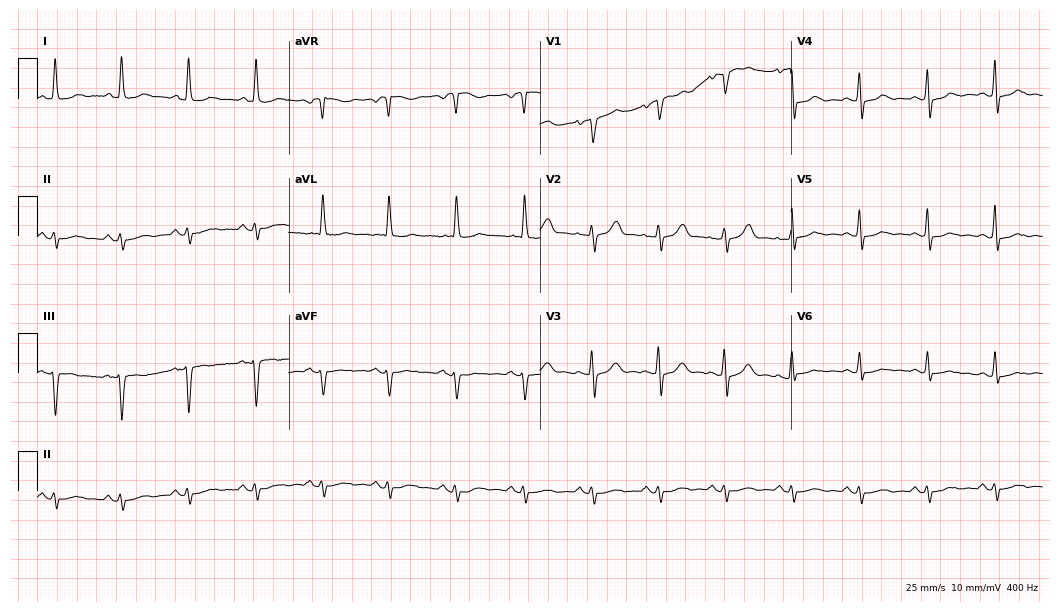
Electrocardiogram, a woman, 70 years old. Of the six screened findings (first-degree AV block, right bundle branch block (RBBB), left bundle branch block (LBBB), sinus bradycardia, atrial fibrillation (AF), sinus tachycardia), none is recorded.